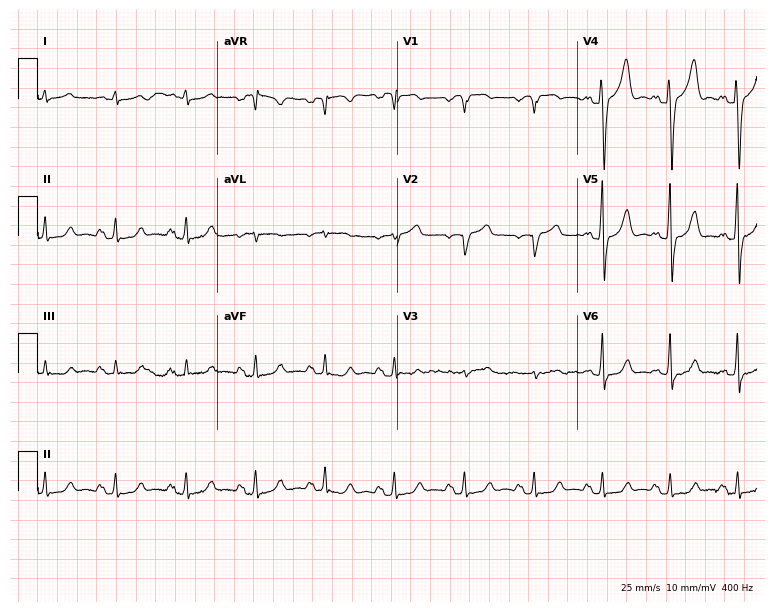
12-lead ECG (7.3-second recording at 400 Hz) from a 69-year-old man. Labelled as a normal ECG.